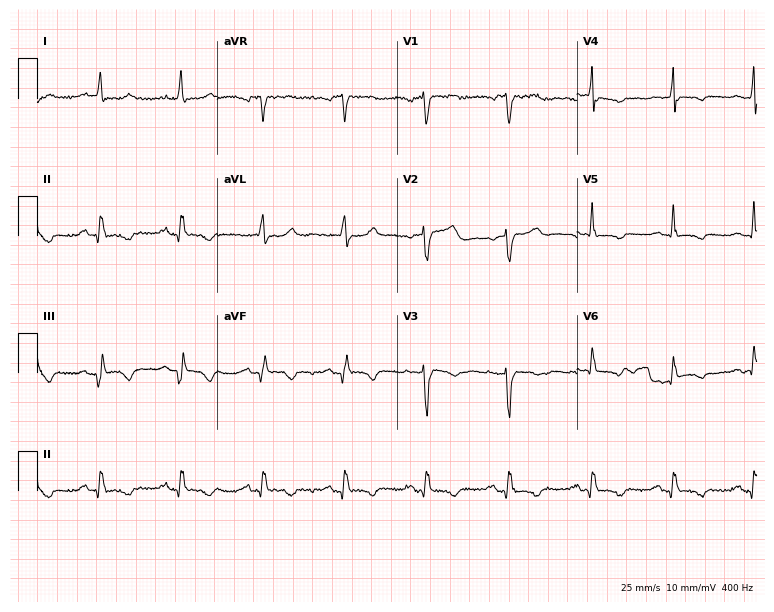
Standard 12-lead ECG recorded from a 59-year-old female (7.3-second recording at 400 Hz). None of these six findings is recorded: first-degree AV block, right bundle branch block, left bundle branch block, sinus bradycardia, atrial fibrillation, sinus tachycardia. Only these six findings were labelled.